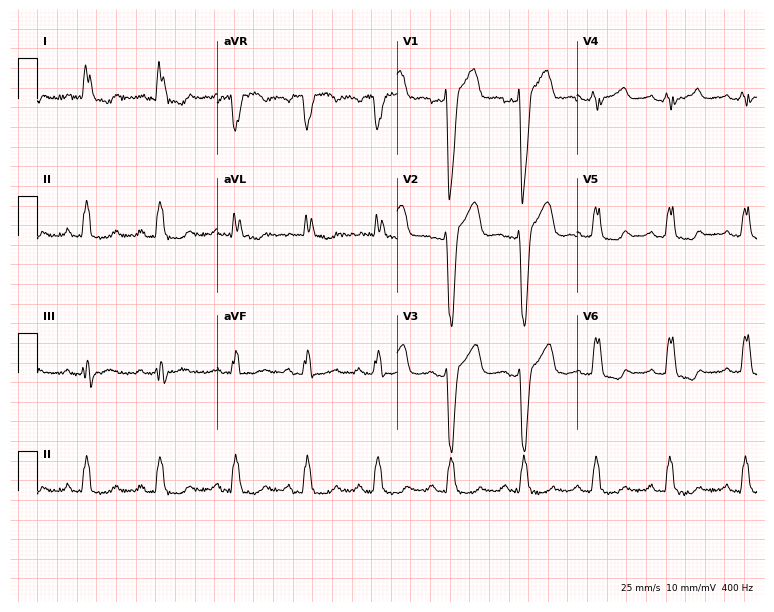
12-lead ECG from a 58-year-old female. Shows left bundle branch block (LBBB).